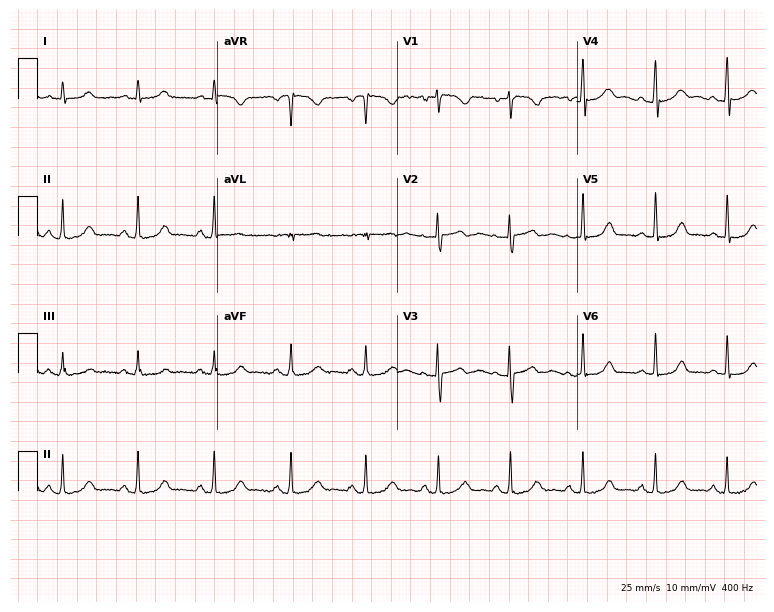
Resting 12-lead electrocardiogram. Patient: a woman, 45 years old. Read as a normal ECG.